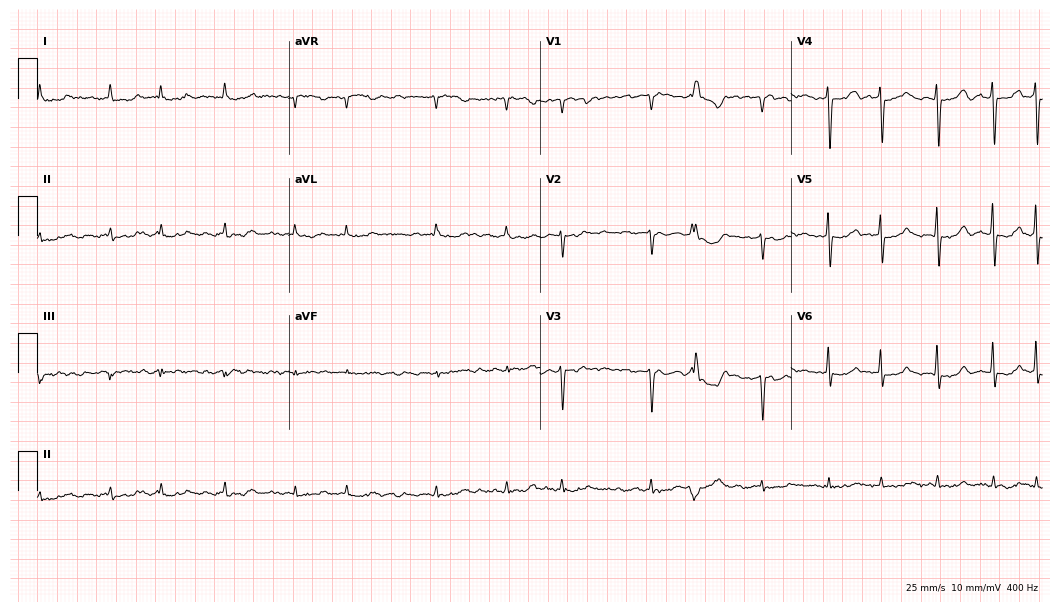
12-lead ECG from a 74-year-old woman. Findings include atrial fibrillation.